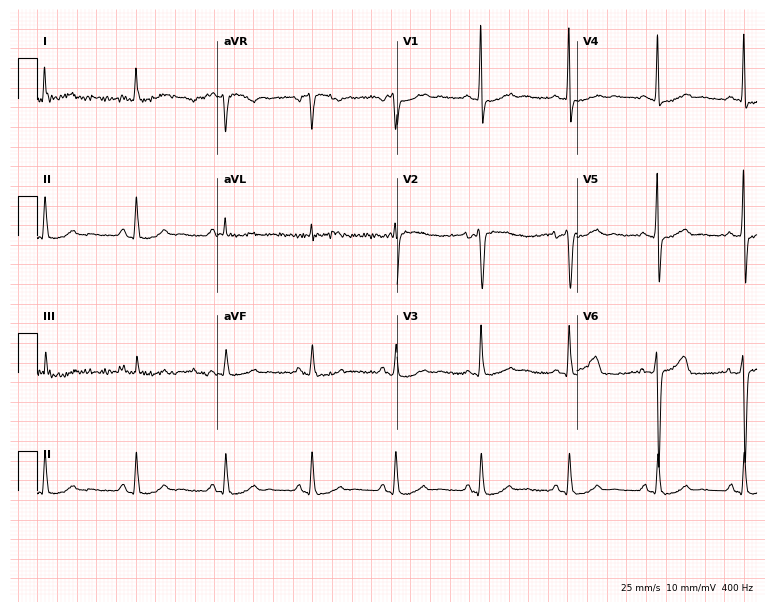
12-lead ECG (7.3-second recording at 400 Hz) from a 45-year-old man. Screened for six findings — first-degree AV block, right bundle branch block, left bundle branch block, sinus bradycardia, atrial fibrillation, sinus tachycardia — none is recorded.